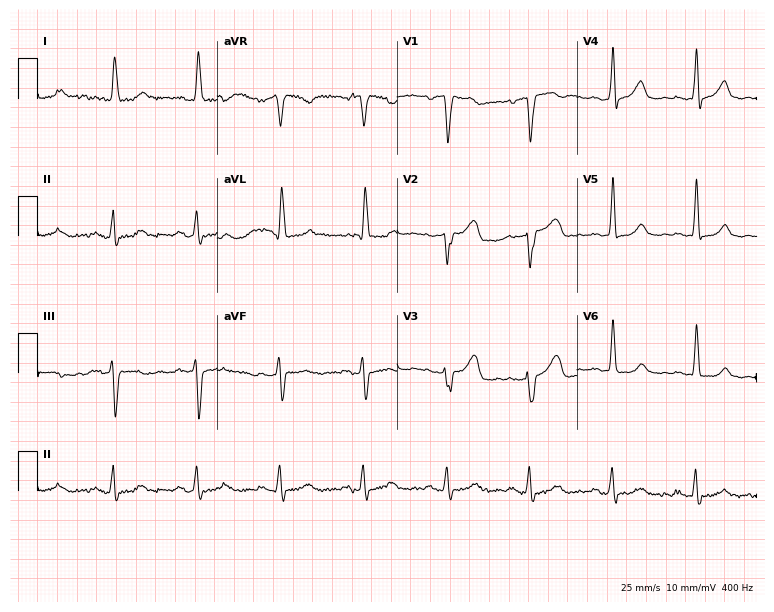
Standard 12-lead ECG recorded from an 83-year-old male. None of these six findings is recorded: first-degree AV block, right bundle branch block (RBBB), left bundle branch block (LBBB), sinus bradycardia, atrial fibrillation (AF), sinus tachycardia.